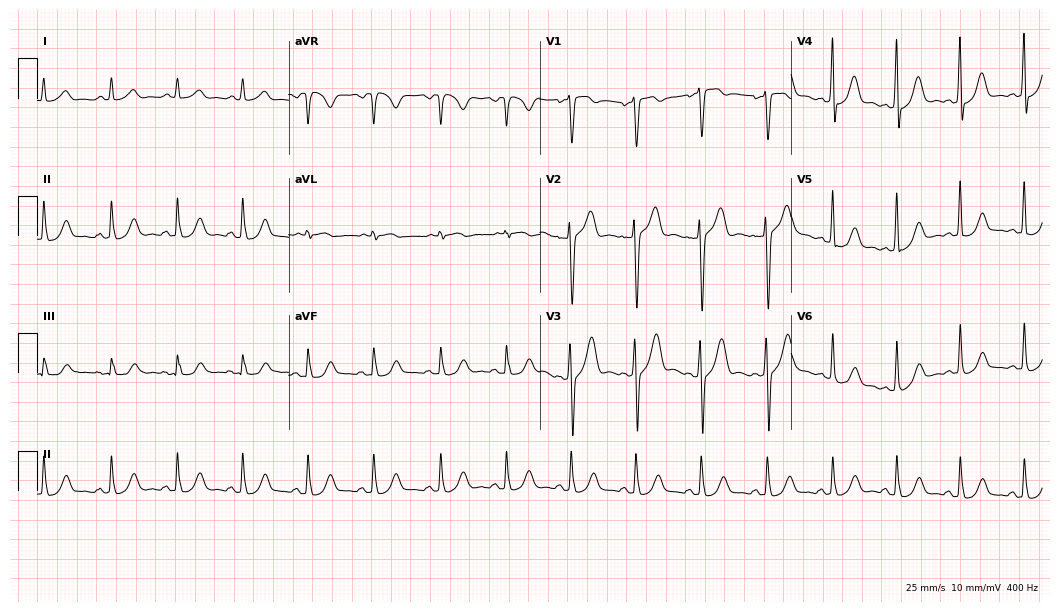
Electrocardiogram (10.2-second recording at 400 Hz), a male, 40 years old. Overall reading on record: normal ECG.